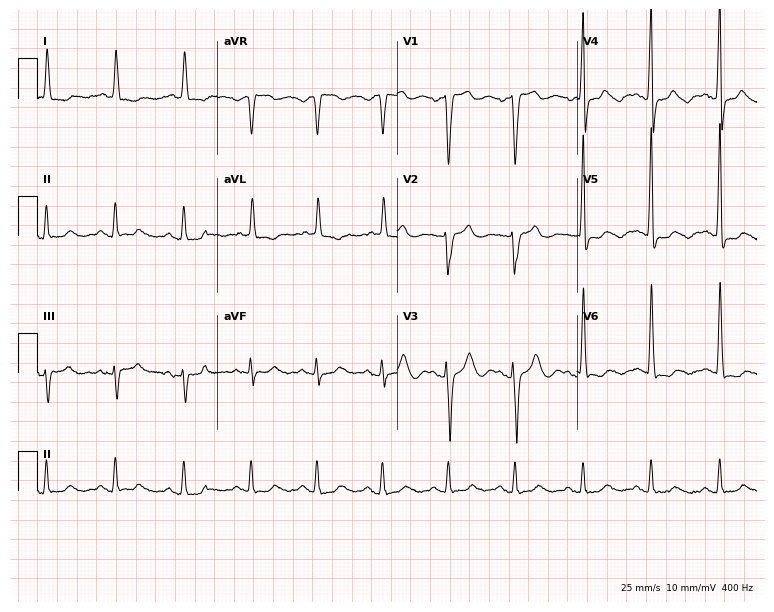
12-lead ECG from a 78-year-old female patient (7.3-second recording at 400 Hz). No first-degree AV block, right bundle branch block (RBBB), left bundle branch block (LBBB), sinus bradycardia, atrial fibrillation (AF) or sinus tachycardia recorded for this tracing.